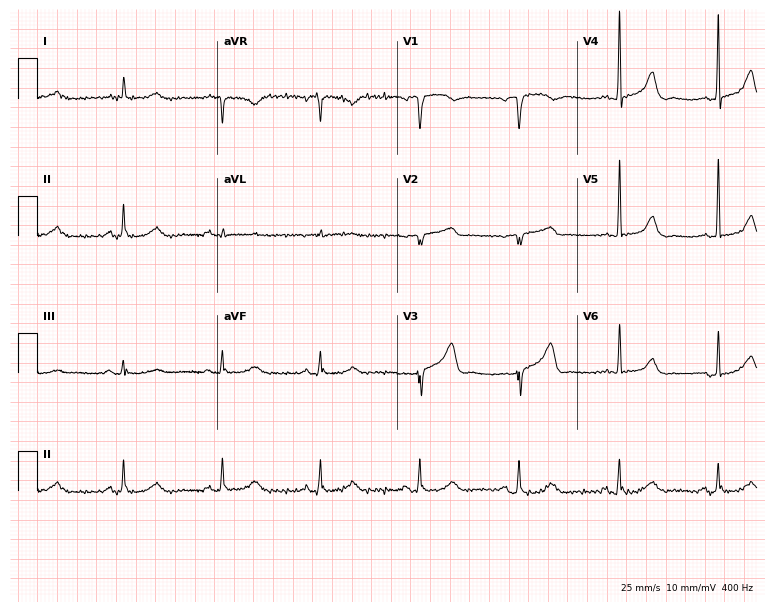
Standard 12-lead ECG recorded from an 81-year-old woman (7.3-second recording at 400 Hz). None of these six findings is recorded: first-degree AV block, right bundle branch block, left bundle branch block, sinus bradycardia, atrial fibrillation, sinus tachycardia.